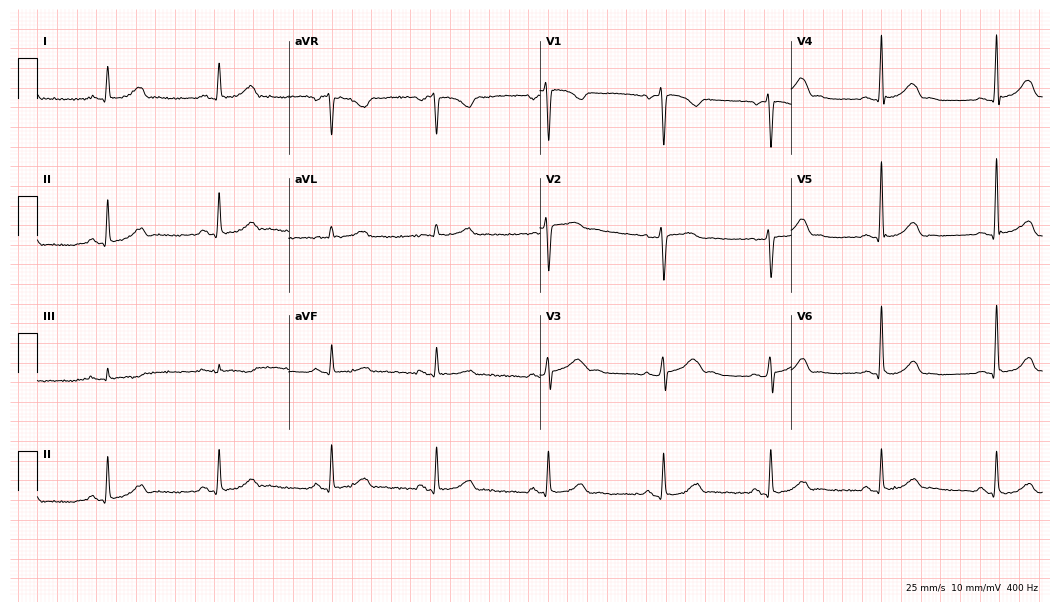
ECG — a 46-year-old female patient. Labelled as a normal ECG.